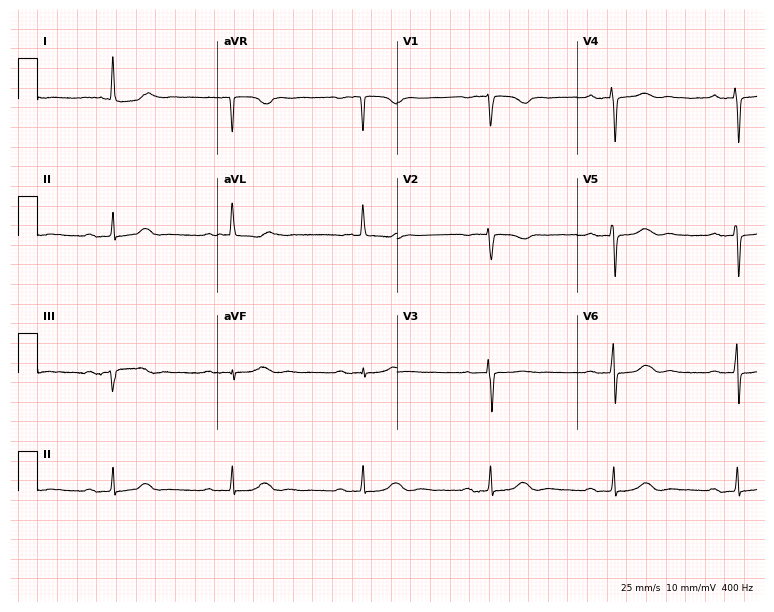
Standard 12-lead ECG recorded from a female, 72 years old (7.3-second recording at 400 Hz). The tracing shows first-degree AV block, sinus bradycardia (a sinus rate of 50 beats per minute or less).